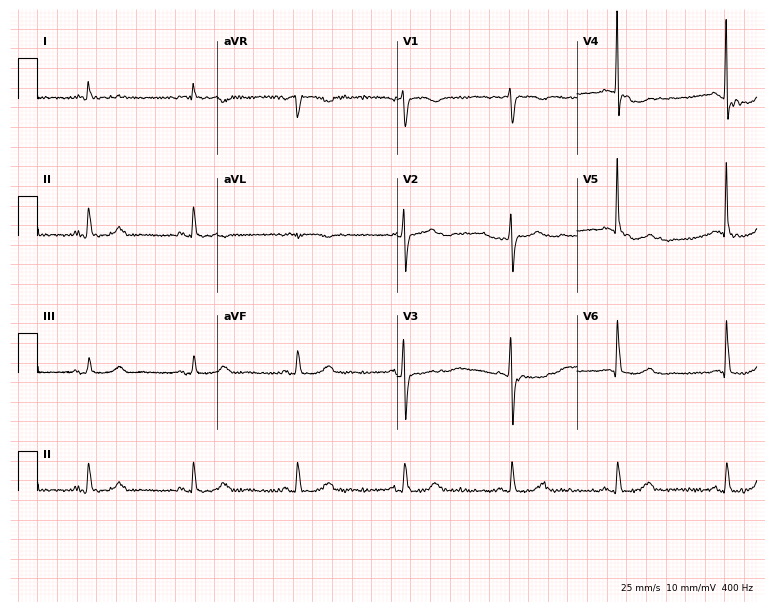
12-lead ECG from a man, 61 years old. Screened for six findings — first-degree AV block, right bundle branch block, left bundle branch block, sinus bradycardia, atrial fibrillation, sinus tachycardia — none is recorded. Other findings, if any, are not listed.